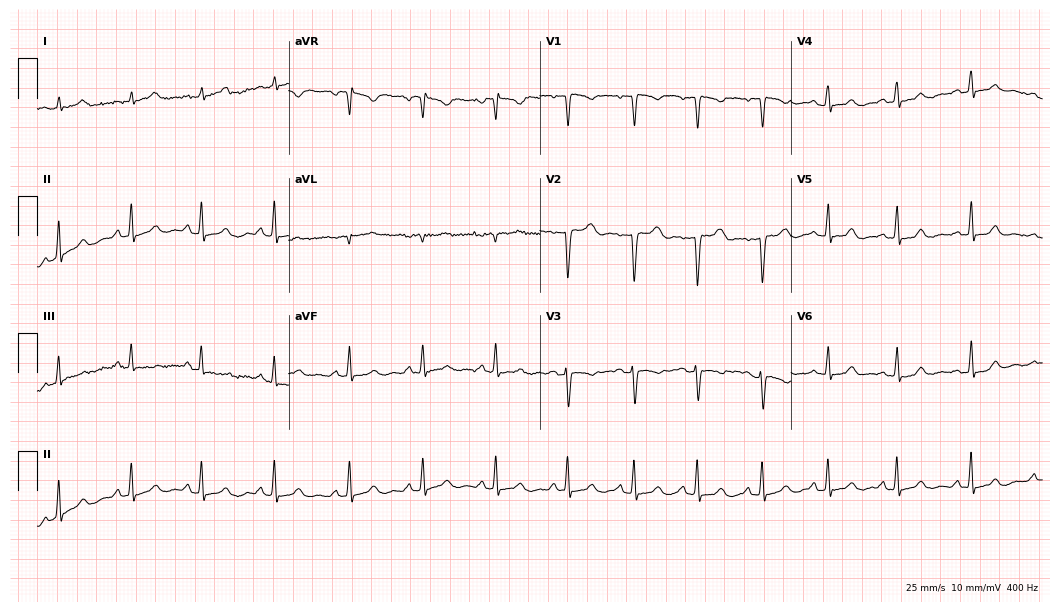
12-lead ECG from a female, 32 years old. Recorded interpretation: within normal limits.